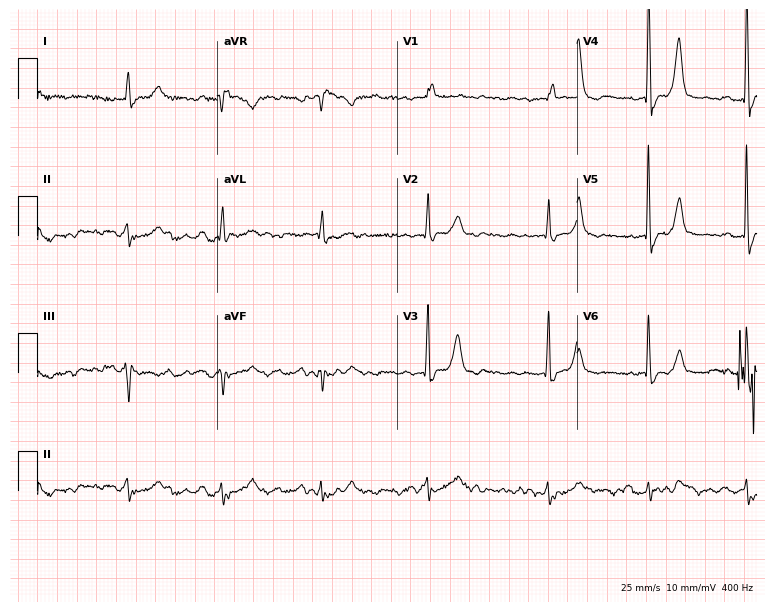
Resting 12-lead electrocardiogram (7.3-second recording at 400 Hz). Patient: a 71-year-old woman. The tracing shows right bundle branch block.